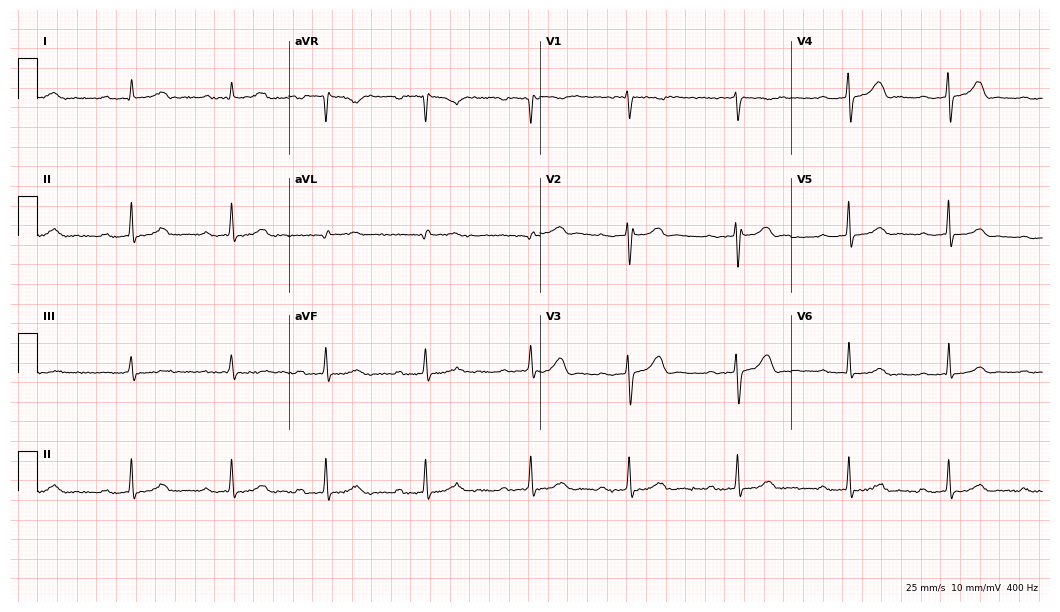
Electrocardiogram, a 27-year-old female. Overall reading on record: normal ECG.